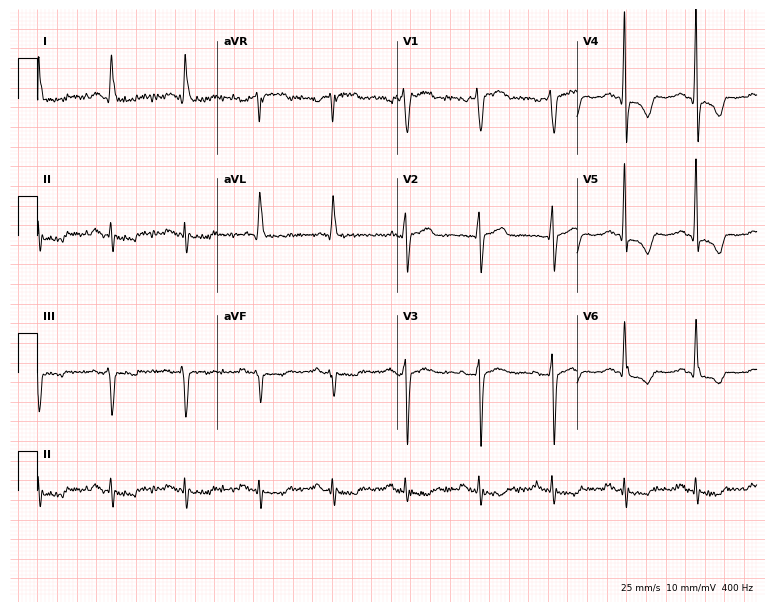
ECG — a 66-year-old male. Screened for six findings — first-degree AV block, right bundle branch block, left bundle branch block, sinus bradycardia, atrial fibrillation, sinus tachycardia — none is recorded.